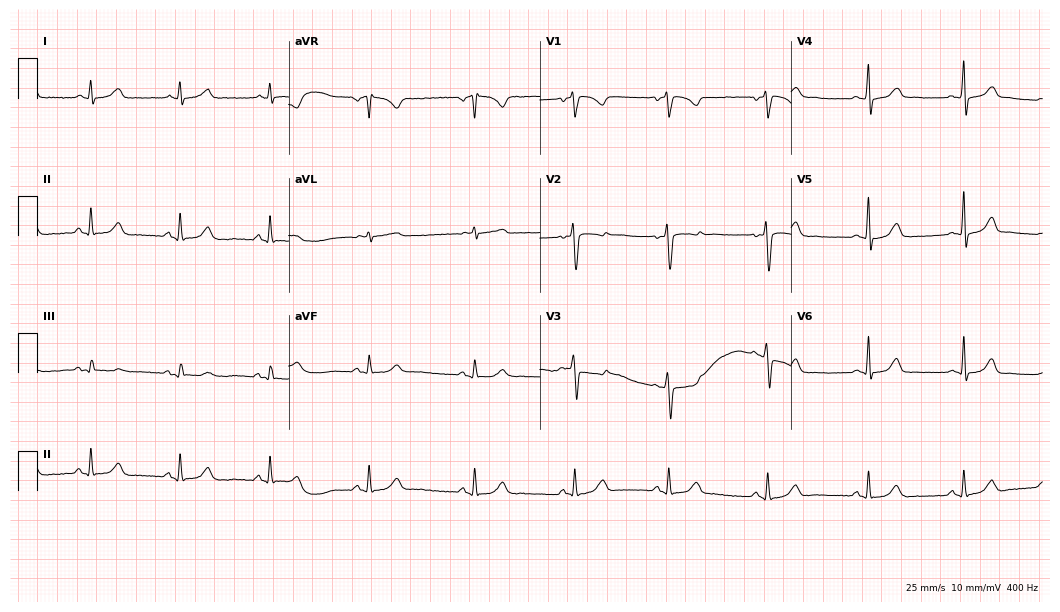
Resting 12-lead electrocardiogram (10.2-second recording at 400 Hz). Patient: a 38-year-old woman. Read as a normal ECG.